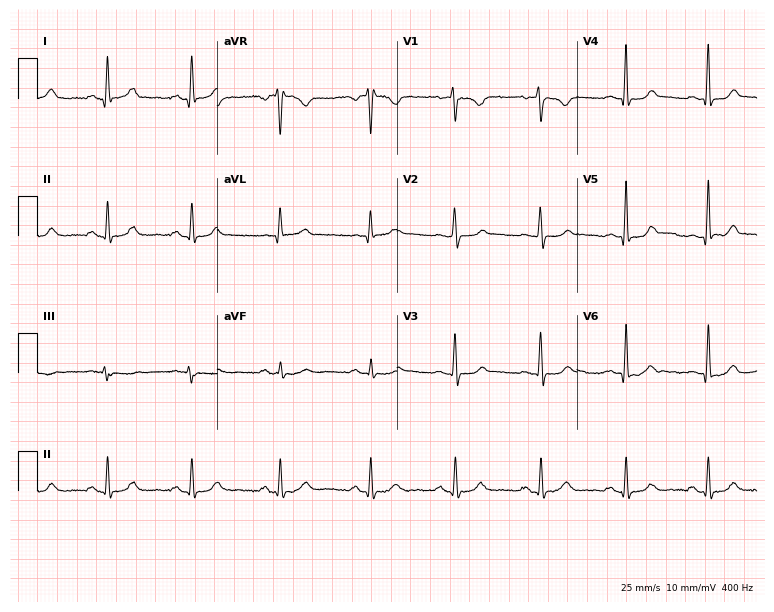
12-lead ECG from a 36-year-old female patient. Labelled as a normal ECG.